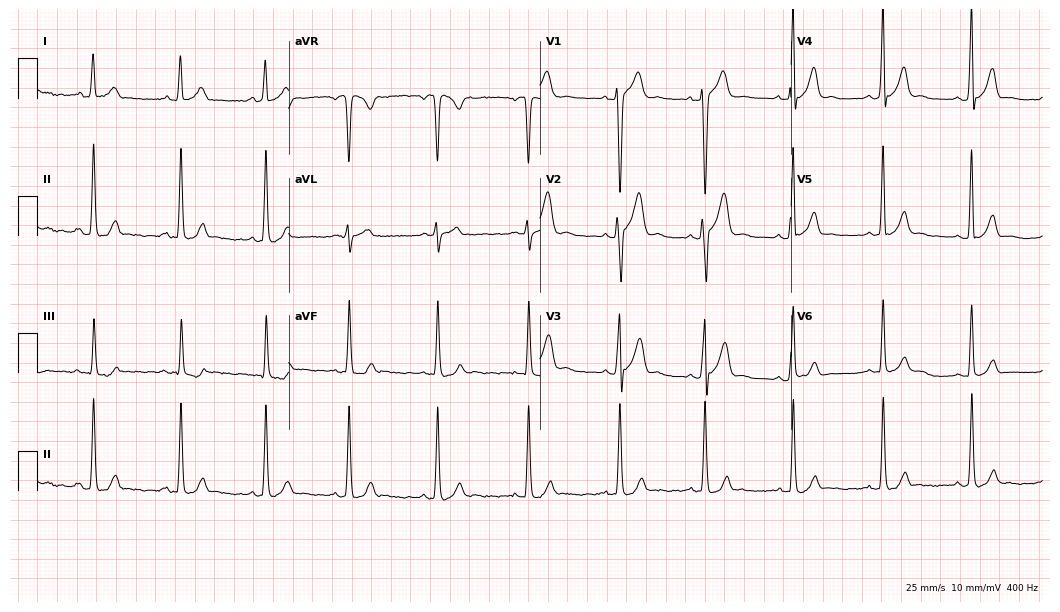
12-lead ECG from an 18-year-old male (10.2-second recording at 400 Hz). Recorded interpretation: within normal limits.